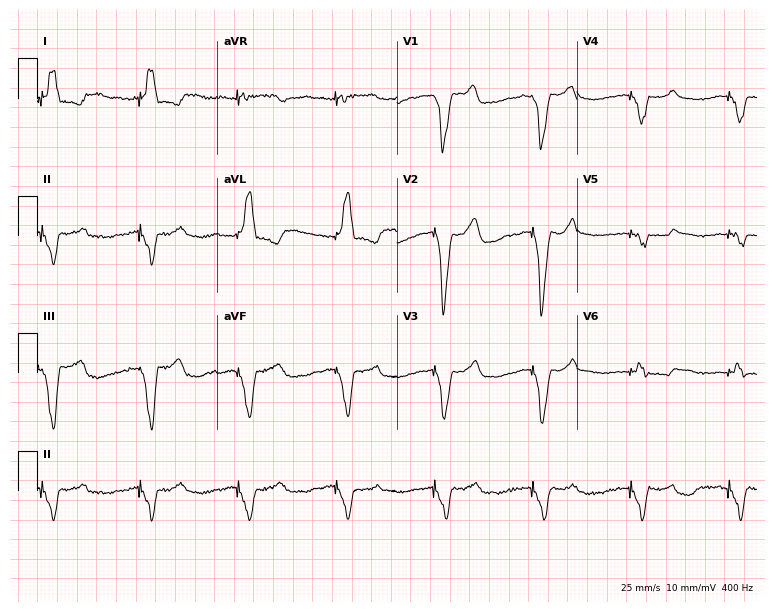
Resting 12-lead electrocardiogram (7.3-second recording at 400 Hz). Patient: a female, 81 years old. None of these six findings is recorded: first-degree AV block, right bundle branch block (RBBB), left bundle branch block (LBBB), sinus bradycardia, atrial fibrillation (AF), sinus tachycardia. Other findings, if any, are not listed.